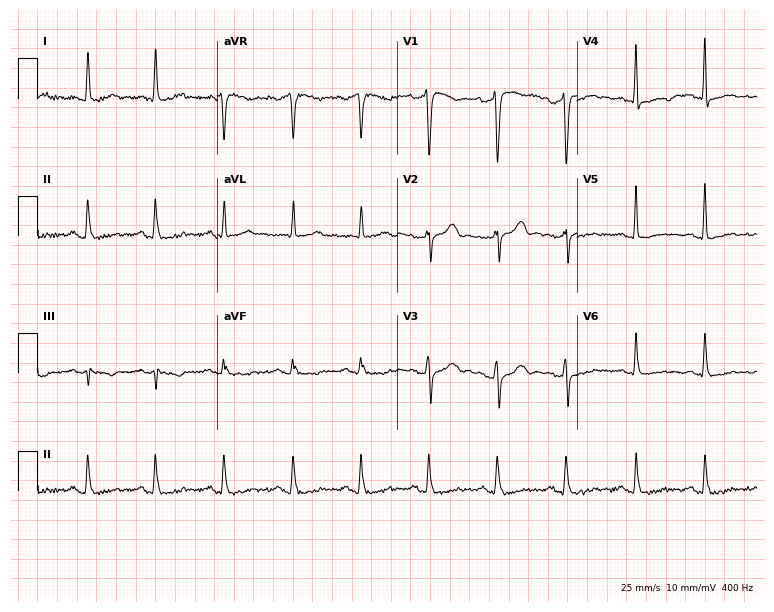
12-lead ECG from a male patient, 65 years old (7.3-second recording at 400 Hz). No first-degree AV block, right bundle branch block, left bundle branch block, sinus bradycardia, atrial fibrillation or sinus tachycardia recorded for this tracing.